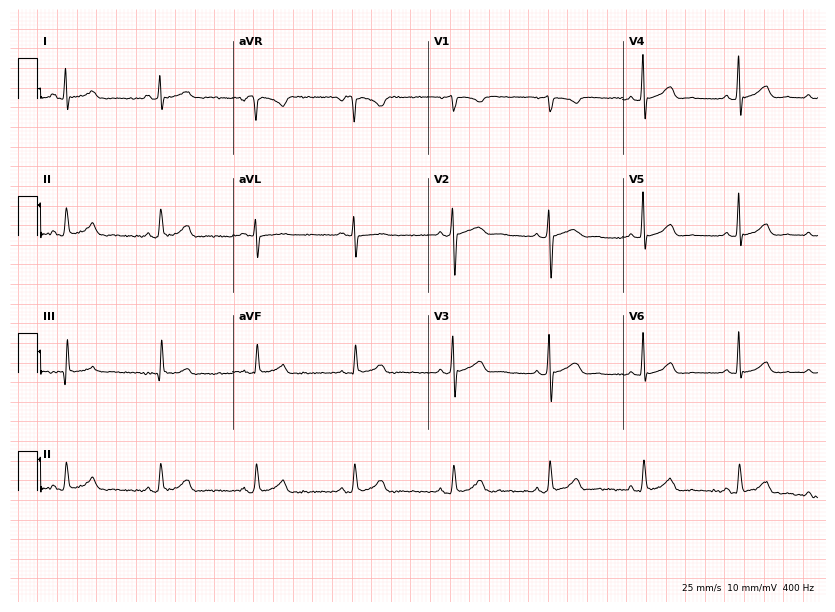
Standard 12-lead ECG recorded from a 38-year-old female. Read as a normal ECG.